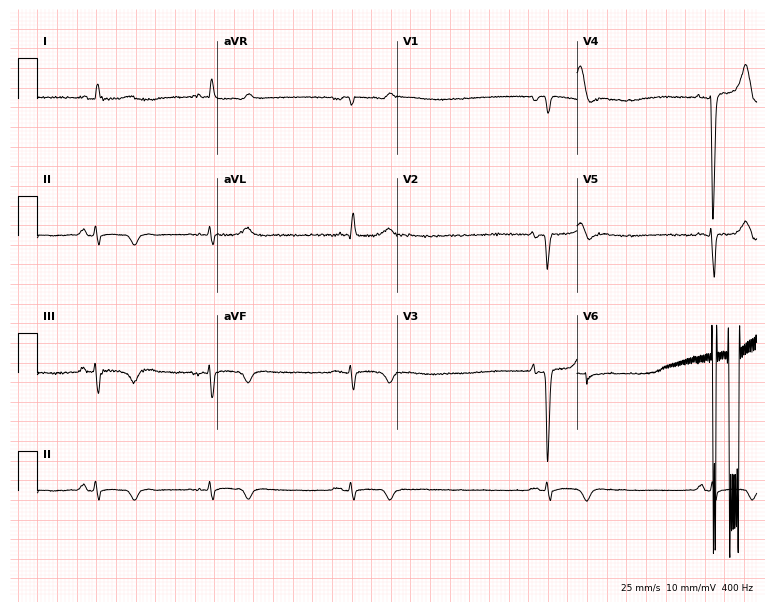
ECG (7.3-second recording at 400 Hz) — a 73-year-old female. Screened for six findings — first-degree AV block, right bundle branch block, left bundle branch block, sinus bradycardia, atrial fibrillation, sinus tachycardia — none is recorded. Other findings, if any, are not listed.